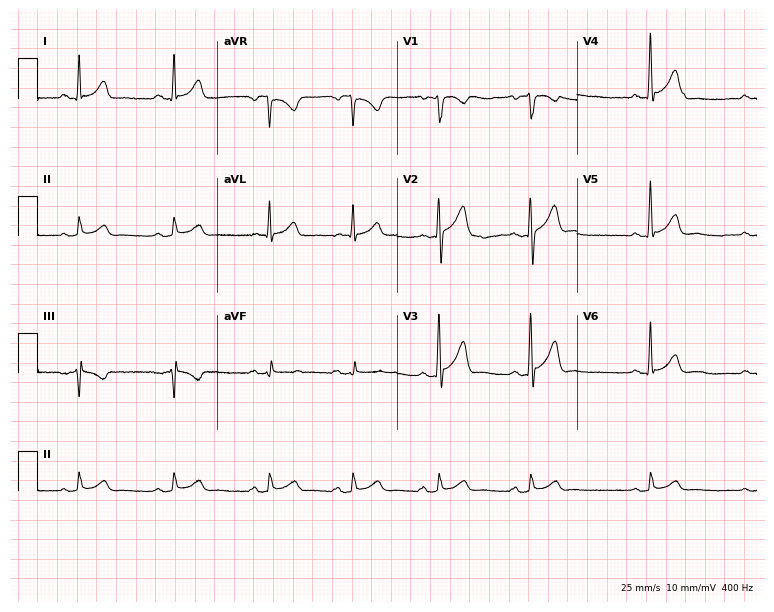
Resting 12-lead electrocardiogram (7.3-second recording at 400 Hz). Patient: a male, 72 years old. None of these six findings is recorded: first-degree AV block, right bundle branch block, left bundle branch block, sinus bradycardia, atrial fibrillation, sinus tachycardia.